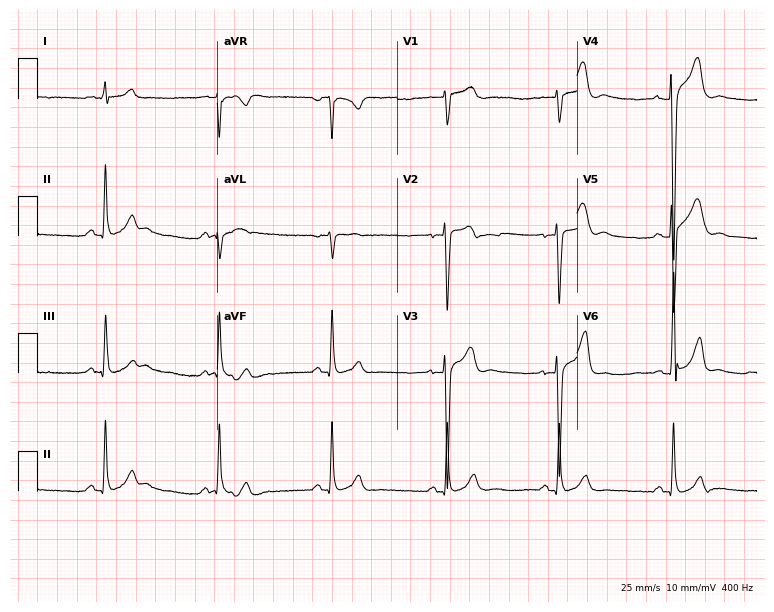
ECG (7.3-second recording at 400 Hz) — a man, 37 years old. Labelled as a normal ECG.